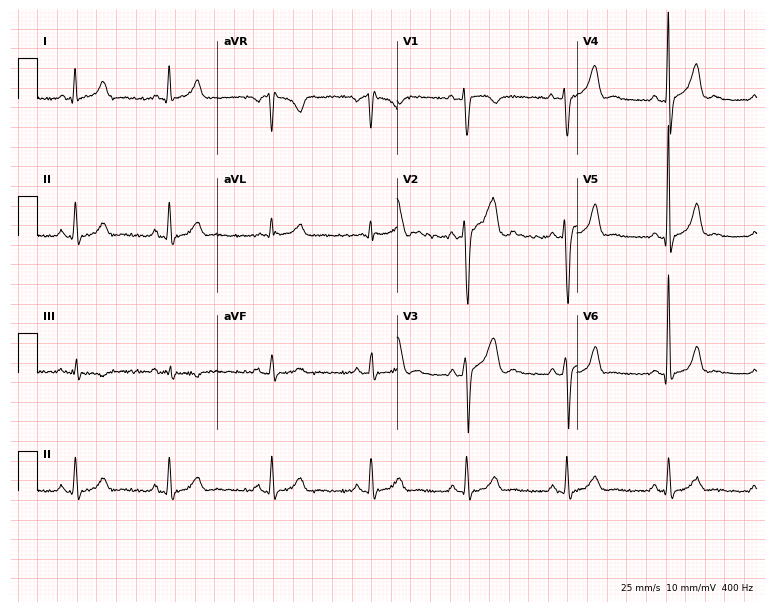
Standard 12-lead ECG recorded from a male patient, 36 years old. Read as a normal ECG.